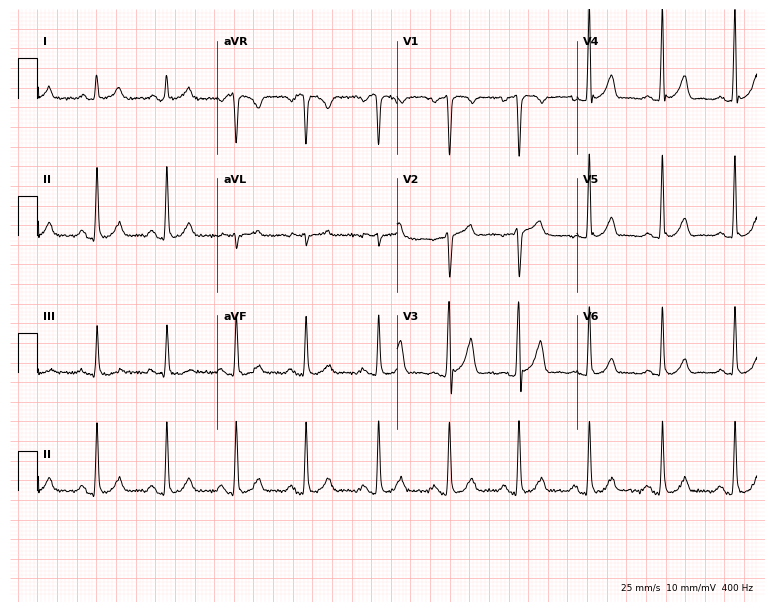
ECG — a man, 36 years old. Screened for six findings — first-degree AV block, right bundle branch block (RBBB), left bundle branch block (LBBB), sinus bradycardia, atrial fibrillation (AF), sinus tachycardia — none is recorded. Other findings, if any, are not listed.